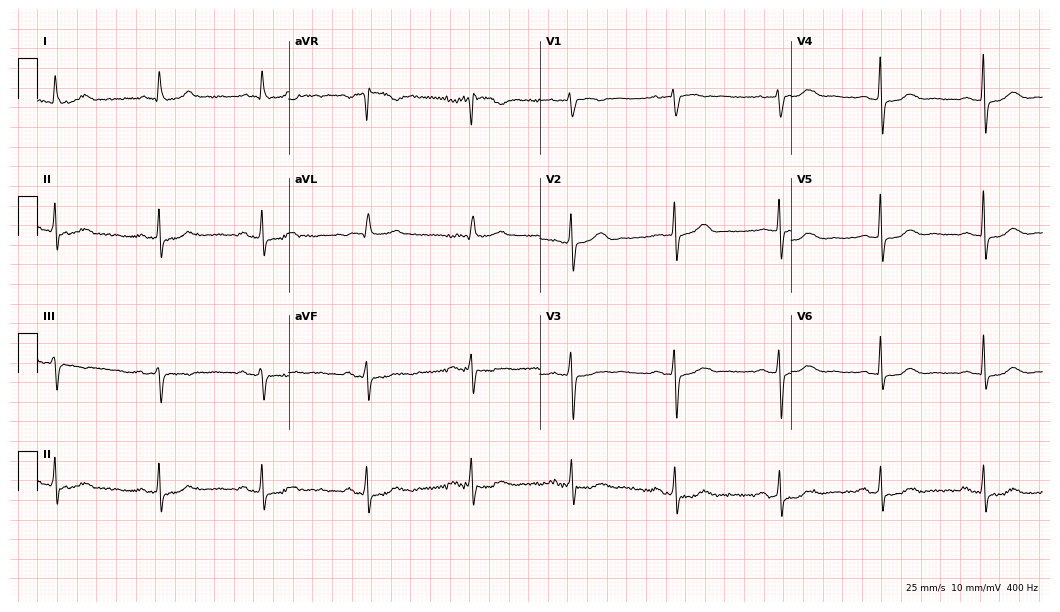
12-lead ECG from a female, 83 years old. Recorded interpretation: within normal limits.